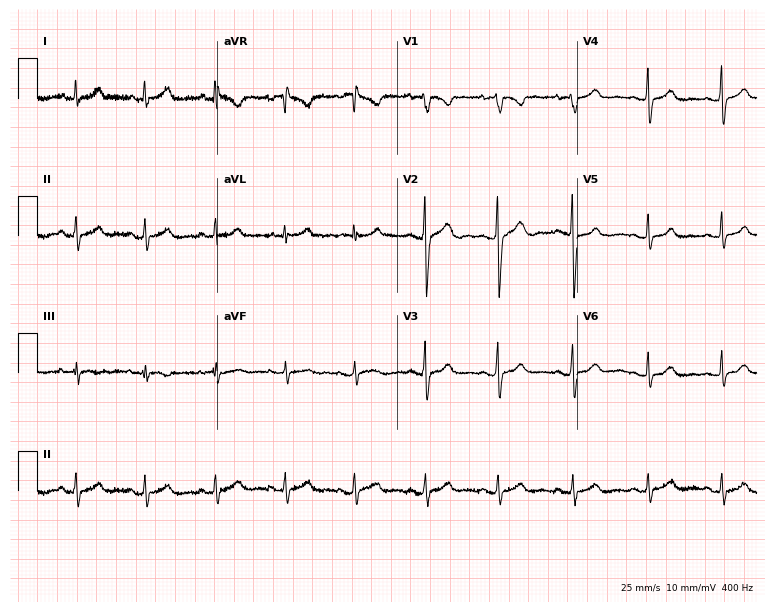
ECG (7.3-second recording at 400 Hz) — a female, 27 years old. Labelled as a normal ECG.